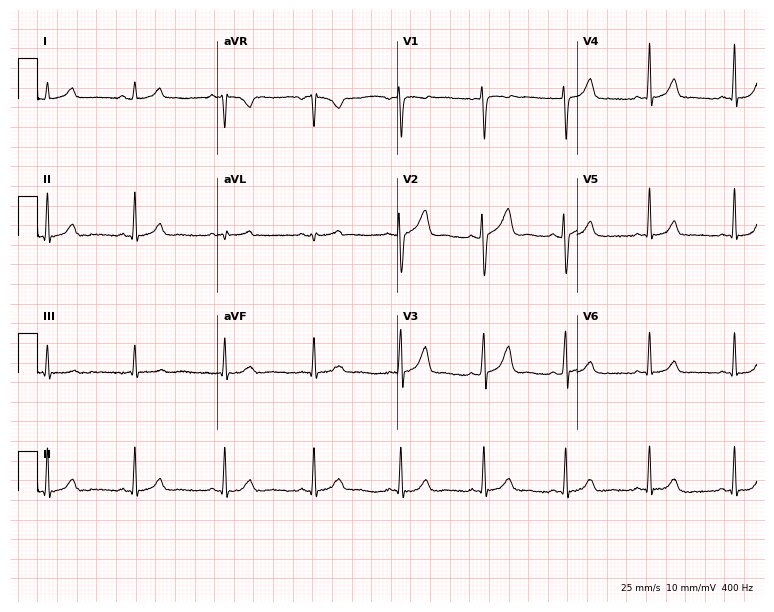
Resting 12-lead electrocardiogram (7.3-second recording at 400 Hz). Patient: a female, 36 years old. None of these six findings is recorded: first-degree AV block, right bundle branch block, left bundle branch block, sinus bradycardia, atrial fibrillation, sinus tachycardia.